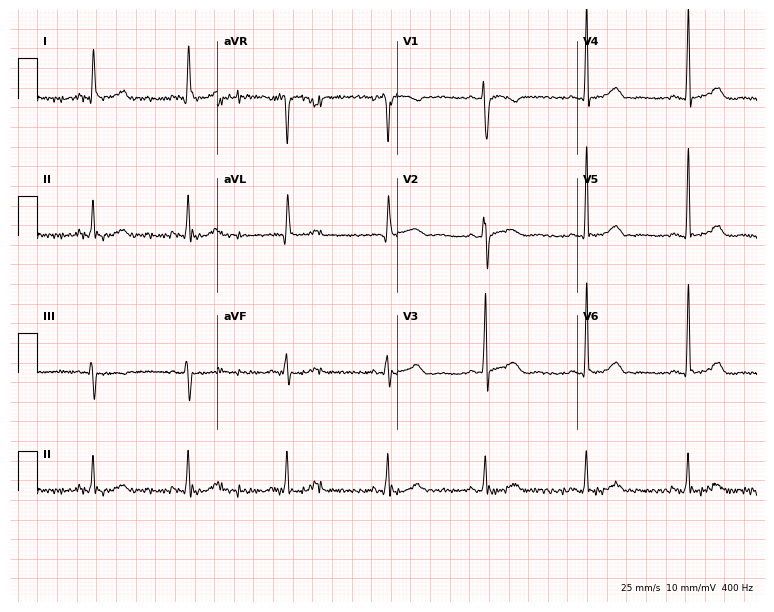
Resting 12-lead electrocardiogram (7.3-second recording at 400 Hz). Patient: a 58-year-old female. None of these six findings is recorded: first-degree AV block, right bundle branch block, left bundle branch block, sinus bradycardia, atrial fibrillation, sinus tachycardia.